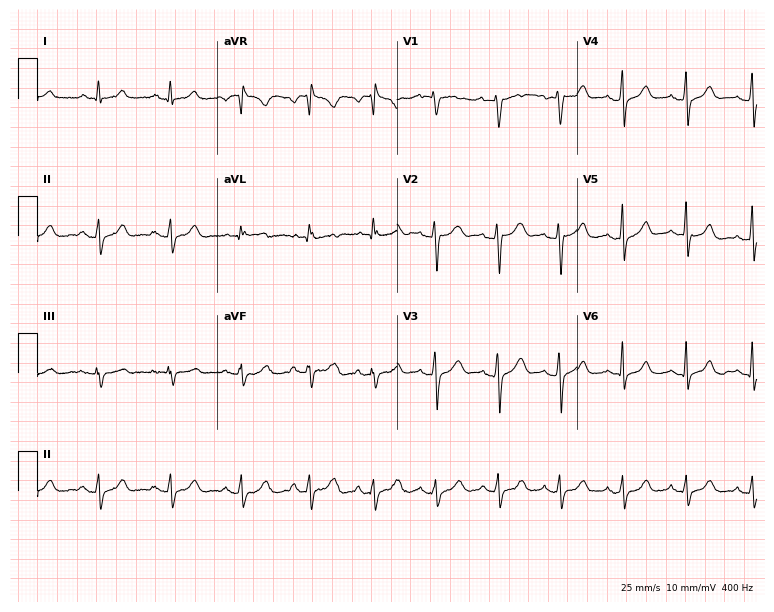
12-lead ECG from a female, 31 years old. Screened for six findings — first-degree AV block, right bundle branch block (RBBB), left bundle branch block (LBBB), sinus bradycardia, atrial fibrillation (AF), sinus tachycardia — none is recorded.